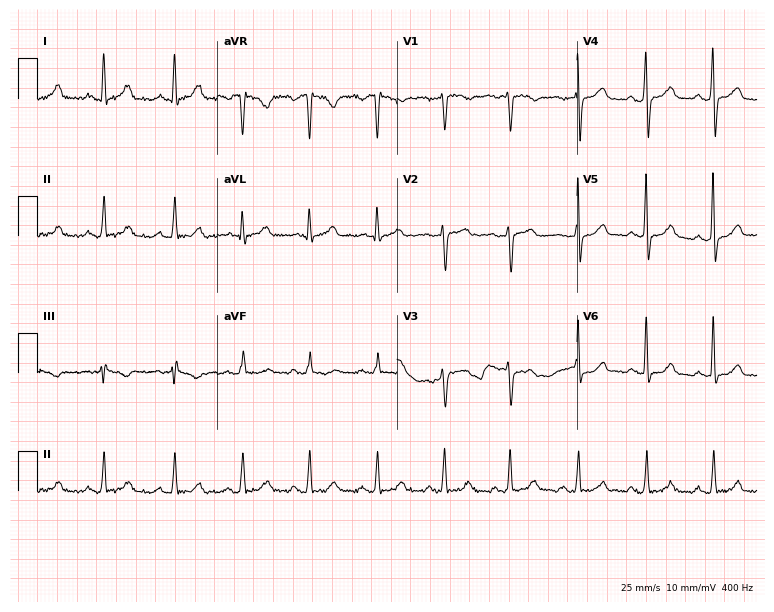
Standard 12-lead ECG recorded from a 52-year-old female patient (7.3-second recording at 400 Hz). None of these six findings is recorded: first-degree AV block, right bundle branch block, left bundle branch block, sinus bradycardia, atrial fibrillation, sinus tachycardia. Other findings, if any, are not listed.